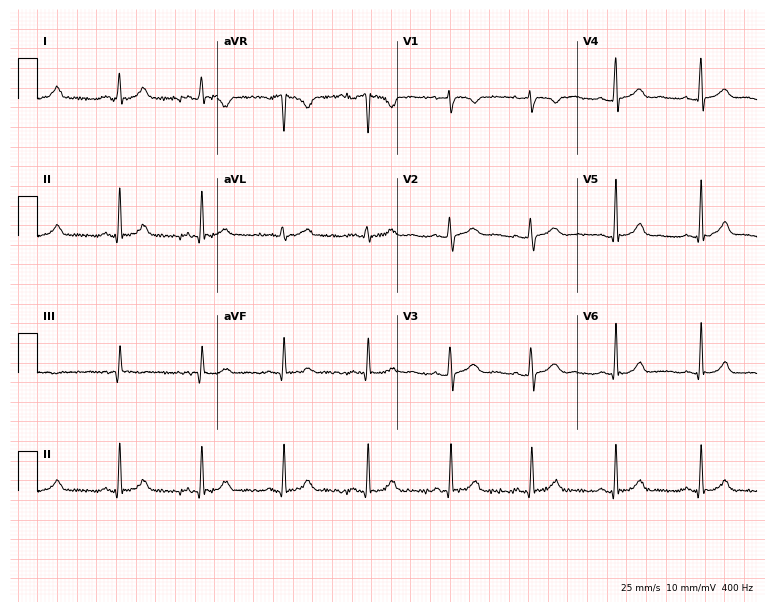
ECG — a female, 25 years old. Screened for six findings — first-degree AV block, right bundle branch block, left bundle branch block, sinus bradycardia, atrial fibrillation, sinus tachycardia — none is recorded.